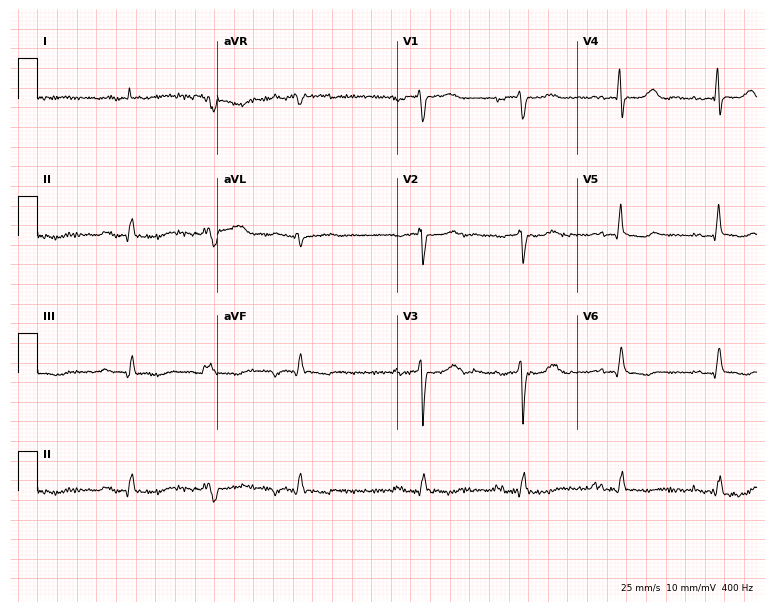
Electrocardiogram, a 65-year-old male patient. Interpretation includes first-degree AV block.